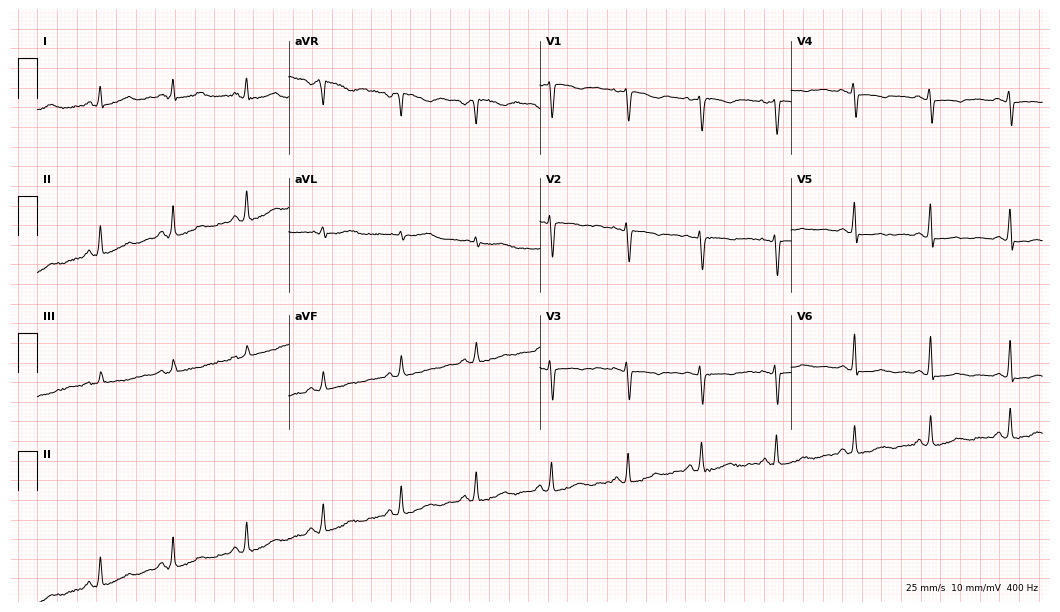
12-lead ECG from a 40-year-old female patient (10.2-second recording at 400 Hz). No first-degree AV block, right bundle branch block (RBBB), left bundle branch block (LBBB), sinus bradycardia, atrial fibrillation (AF) or sinus tachycardia recorded for this tracing.